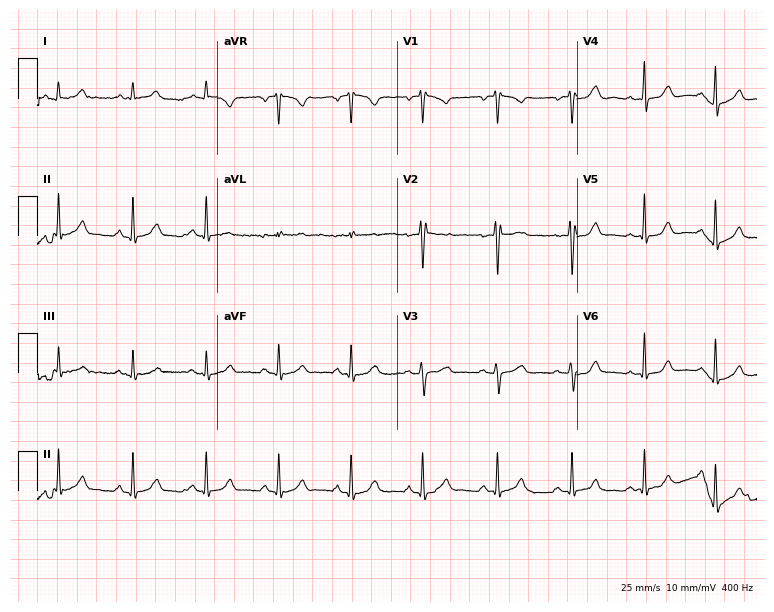
12-lead ECG from a female, 30 years old. Screened for six findings — first-degree AV block, right bundle branch block, left bundle branch block, sinus bradycardia, atrial fibrillation, sinus tachycardia — none is recorded. Only these six findings were labelled.